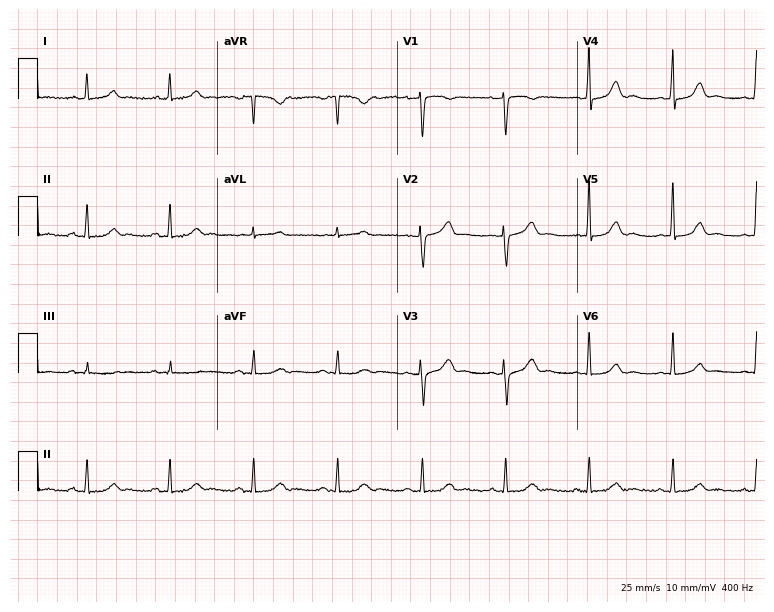
ECG (7.3-second recording at 400 Hz) — a female, 69 years old. Labelled as a normal ECG.